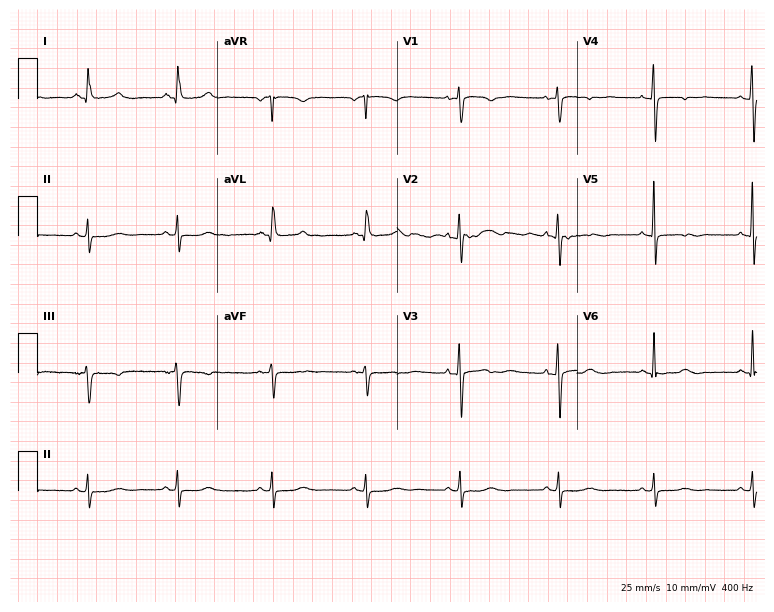
Electrocardiogram (7.3-second recording at 400 Hz), a female, 44 years old. Of the six screened findings (first-degree AV block, right bundle branch block (RBBB), left bundle branch block (LBBB), sinus bradycardia, atrial fibrillation (AF), sinus tachycardia), none is recorded.